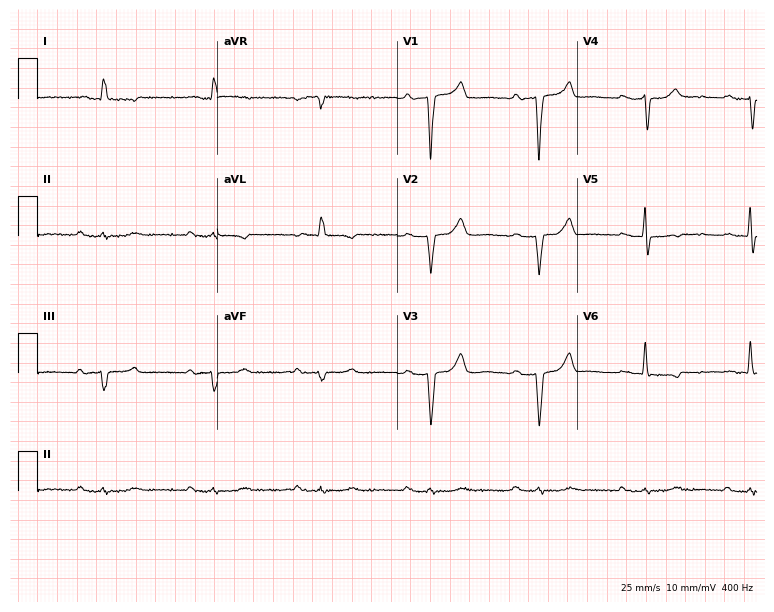
12-lead ECG from a 61-year-old male (7.3-second recording at 400 Hz). Shows first-degree AV block.